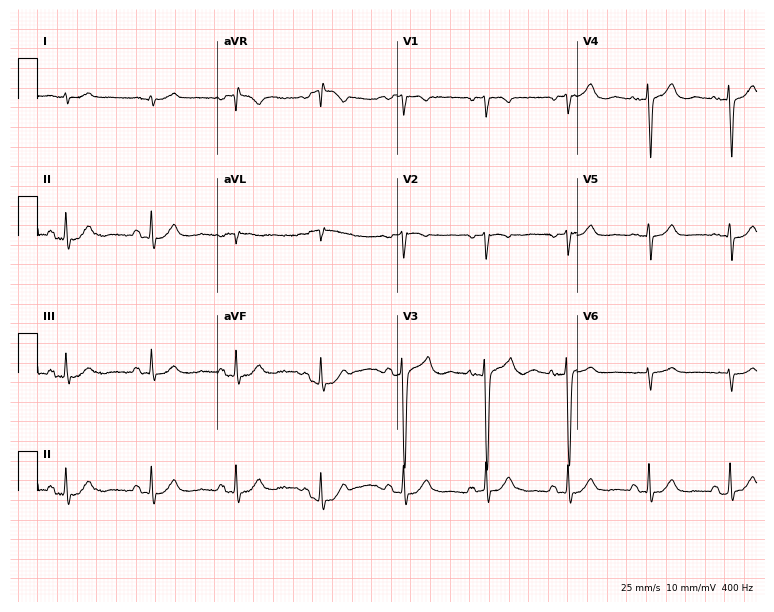
Standard 12-lead ECG recorded from a male, 76 years old (7.3-second recording at 400 Hz). None of these six findings is recorded: first-degree AV block, right bundle branch block, left bundle branch block, sinus bradycardia, atrial fibrillation, sinus tachycardia.